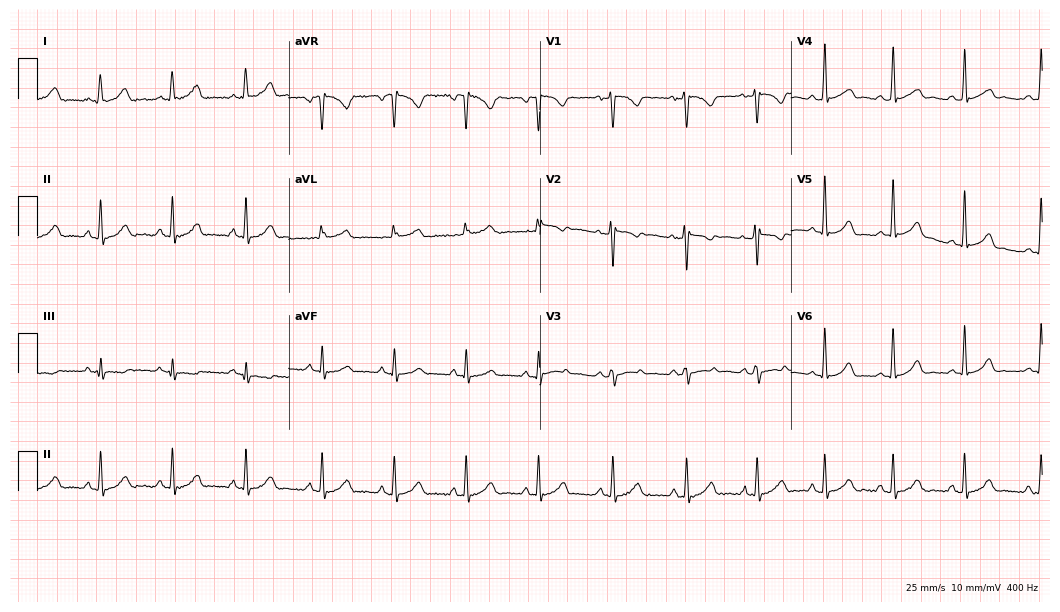
Standard 12-lead ECG recorded from a female, 28 years old. None of these six findings is recorded: first-degree AV block, right bundle branch block, left bundle branch block, sinus bradycardia, atrial fibrillation, sinus tachycardia.